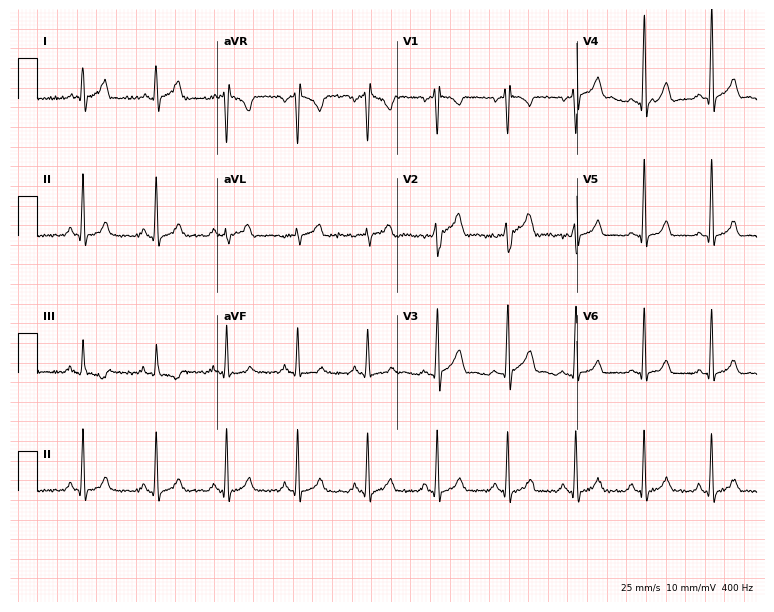
ECG — a man, 21 years old. Labelled as a normal ECG.